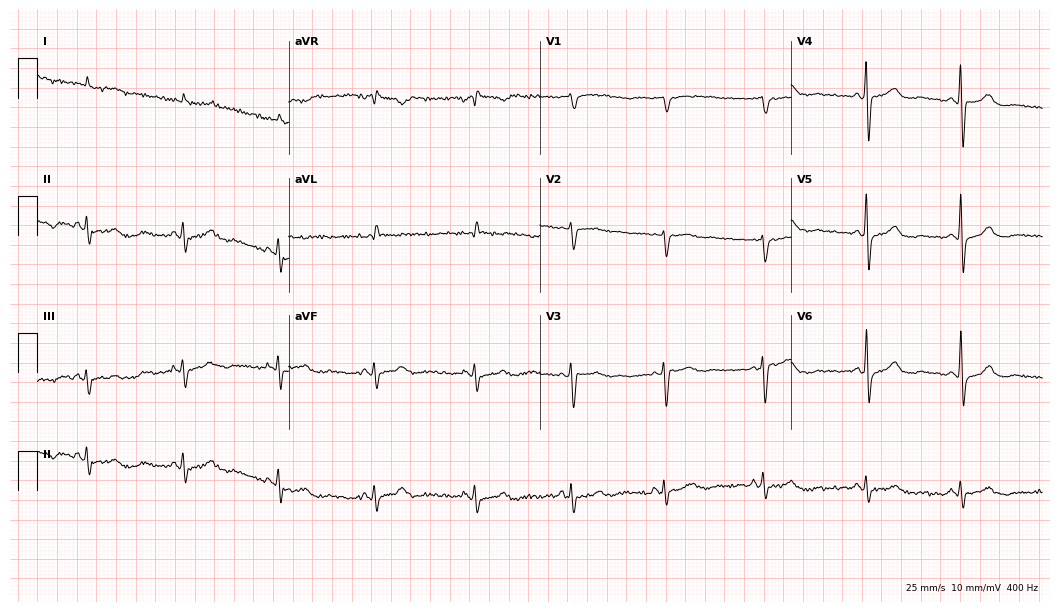
Resting 12-lead electrocardiogram. Patient: a female, 66 years old. None of these six findings is recorded: first-degree AV block, right bundle branch block, left bundle branch block, sinus bradycardia, atrial fibrillation, sinus tachycardia. Findings outside these six are not listed.